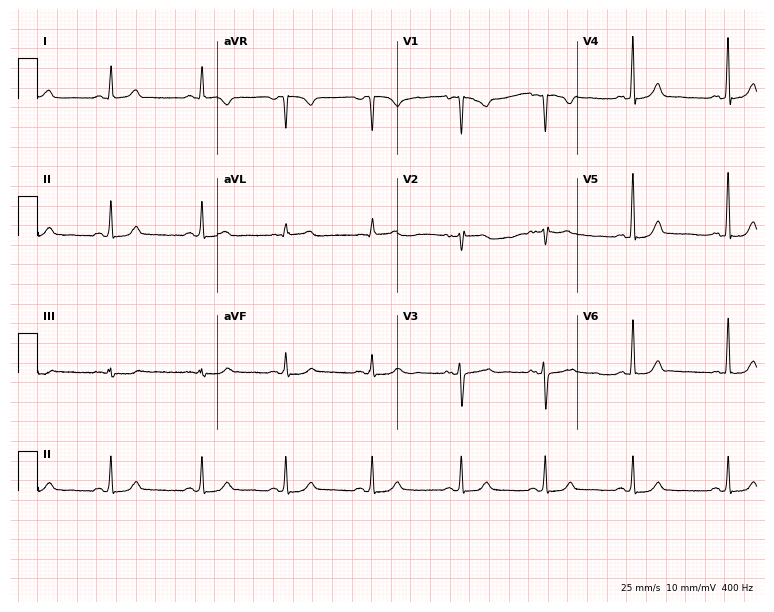
12-lead ECG (7.3-second recording at 400 Hz) from a 39-year-old woman. Labelled as a normal ECG.